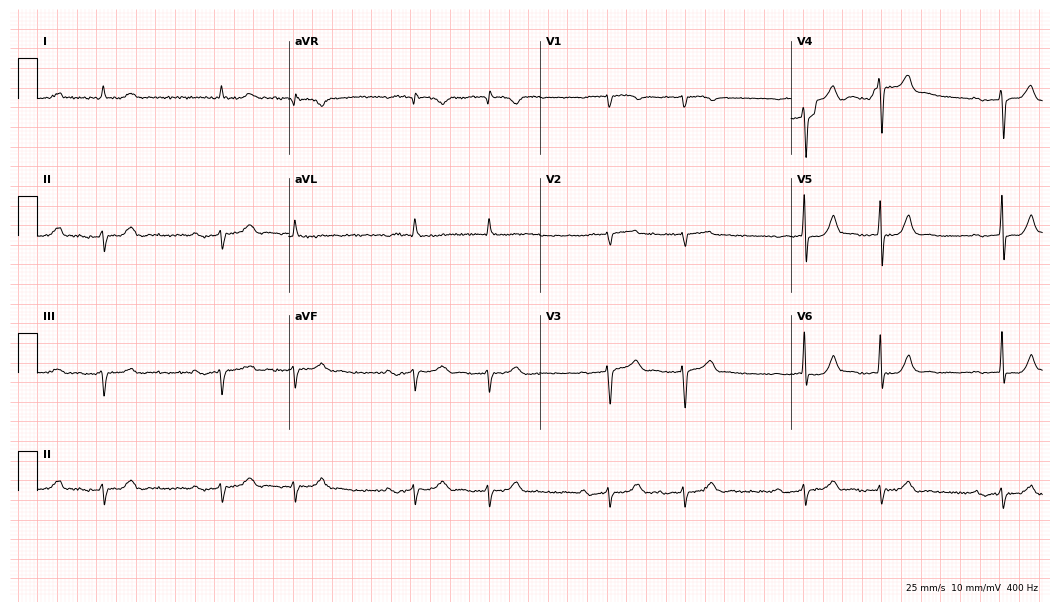
Resting 12-lead electrocardiogram. Patient: a male, 78 years old. None of these six findings is recorded: first-degree AV block, right bundle branch block, left bundle branch block, sinus bradycardia, atrial fibrillation, sinus tachycardia.